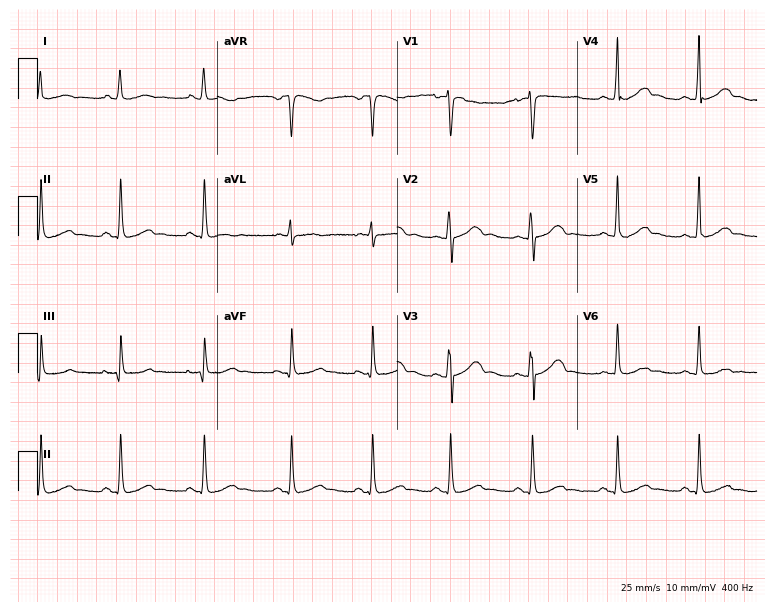
12-lead ECG from a woman, 30 years old. Recorded interpretation: within normal limits.